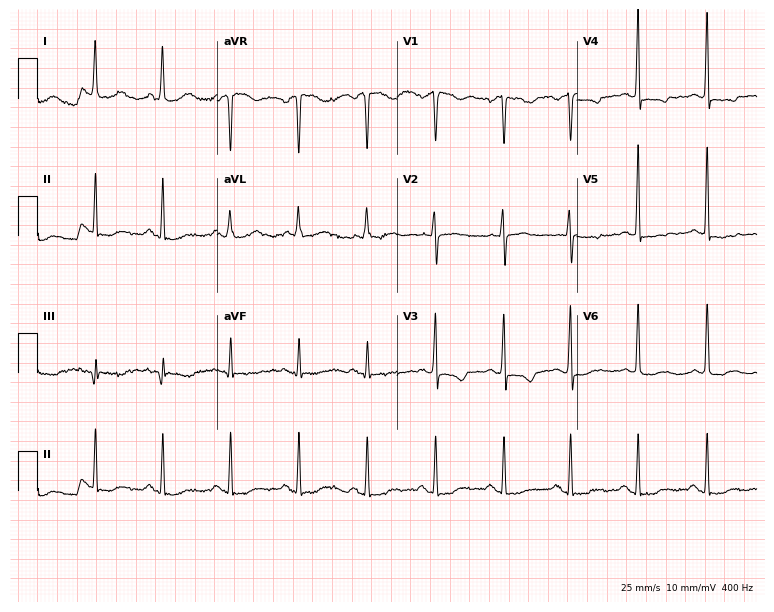
Standard 12-lead ECG recorded from a 59-year-old man. None of these six findings is recorded: first-degree AV block, right bundle branch block, left bundle branch block, sinus bradycardia, atrial fibrillation, sinus tachycardia.